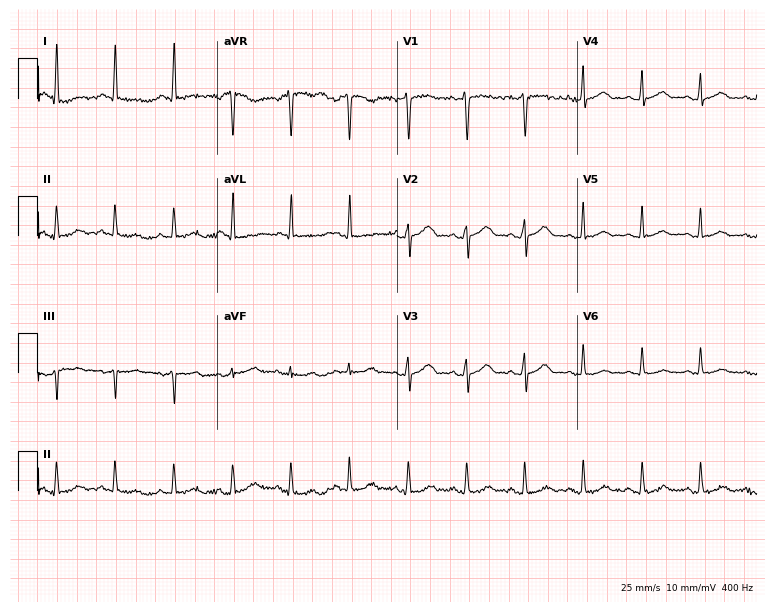
Resting 12-lead electrocardiogram (7.3-second recording at 400 Hz). Patient: a woman, 40 years old. None of these six findings is recorded: first-degree AV block, right bundle branch block, left bundle branch block, sinus bradycardia, atrial fibrillation, sinus tachycardia.